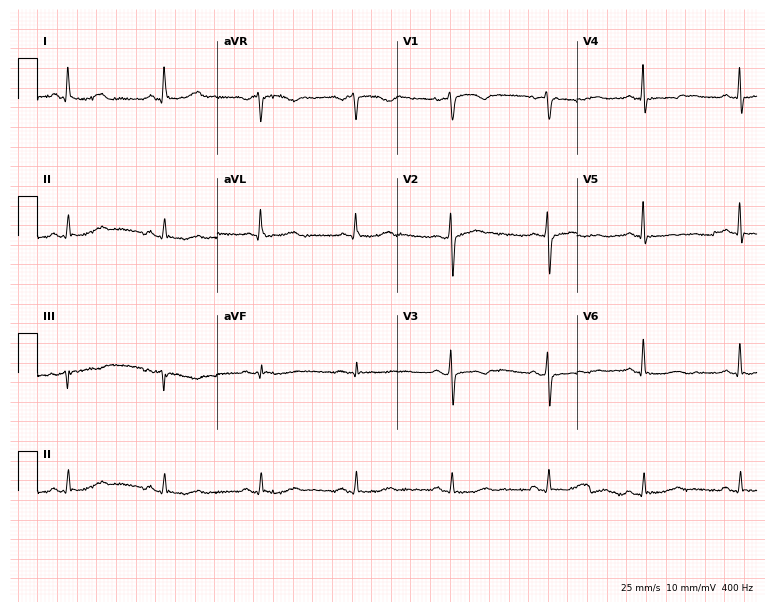
Electrocardiogram, a 61-year-old female patient. Of the six screened findings (first-degree AV block, right bundle branch block, left bundle branch block, sinus bradycardia, atrial fibrillation, sinus tachycardia), none is recorded. Findings outside these six are not listed.